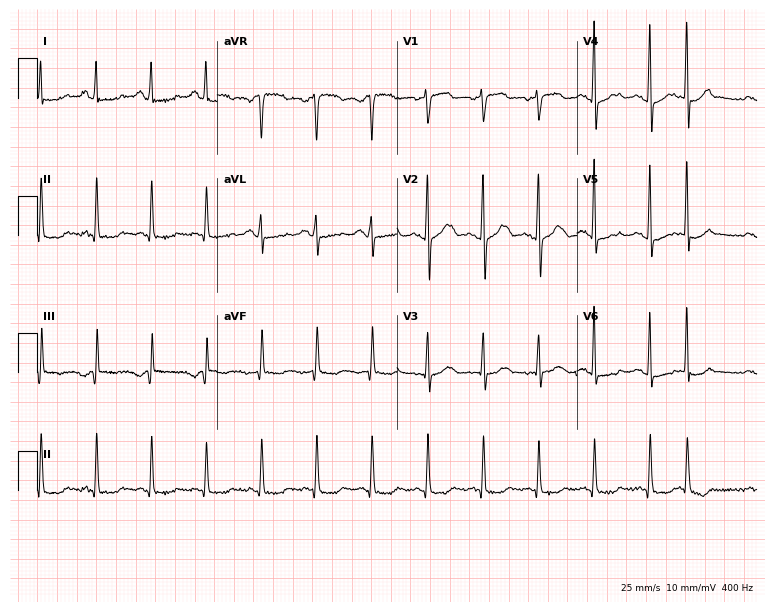
Standard 12-lead ECG recorded from a woman, 73 years old (7.3-second recording at 400 Hz). The tracing shows sinus tachycardia (a sinus rate of 100 beats per minute or more).